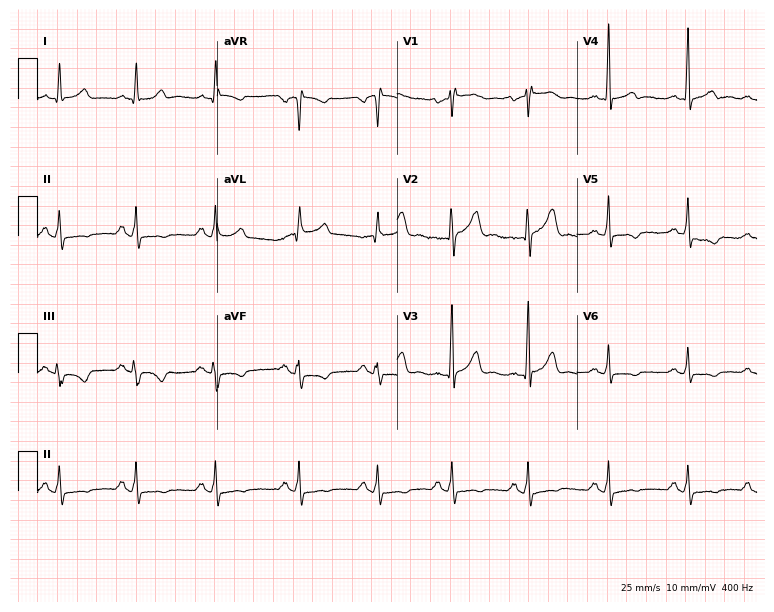
Standard 12-lead ECG recorded from a female, 42 years old (7.3-second recording at 400 Hz). None of these six findings is recorded: first-degree AV block, right bundle branch block (RBBB), left bundle branch block (LBBB), sinus bradycardia, atrial fibrillation (AF), sinus tachycardia. Other findings, if any, are not listed.